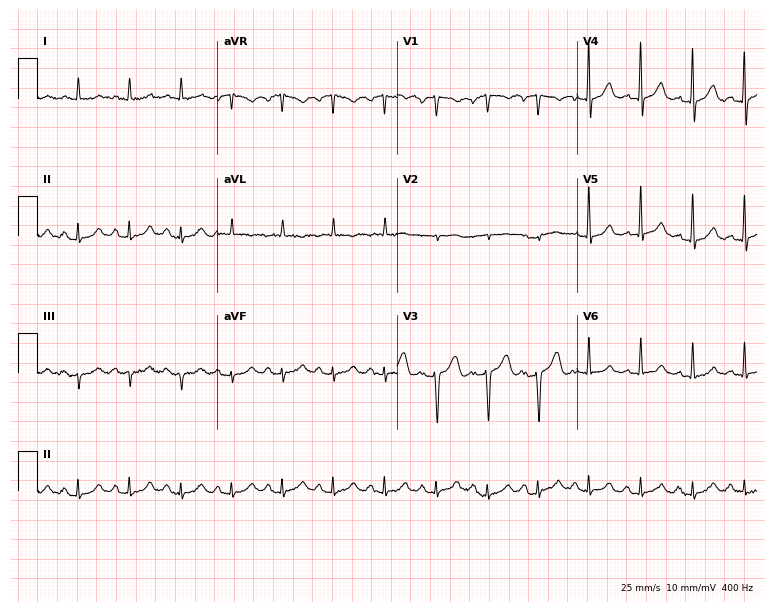
Electrocardiogram, a male patient, 71 years old. Interpretation includes sinus tachycardia (a sinus rate of 100 beats per minute or more).